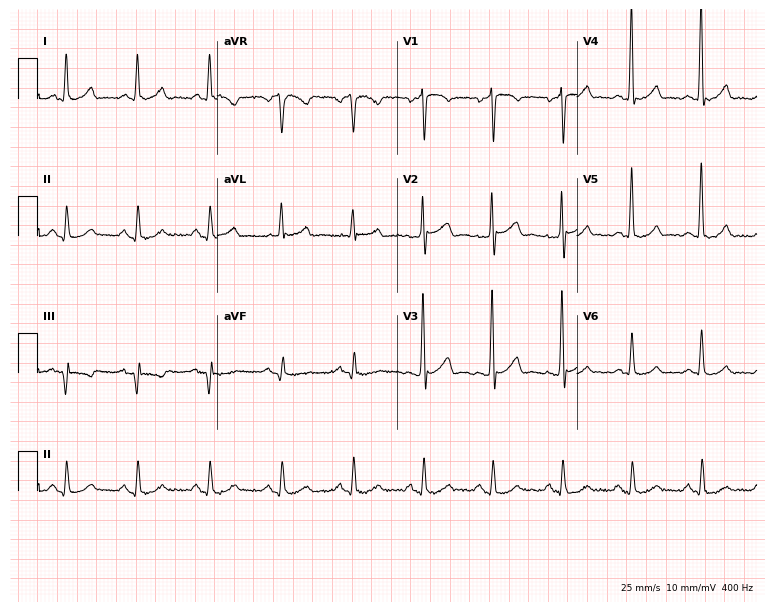
Standard 12-lead ECG recorded from a male patient, 60 years old. Read as a normal ECG.